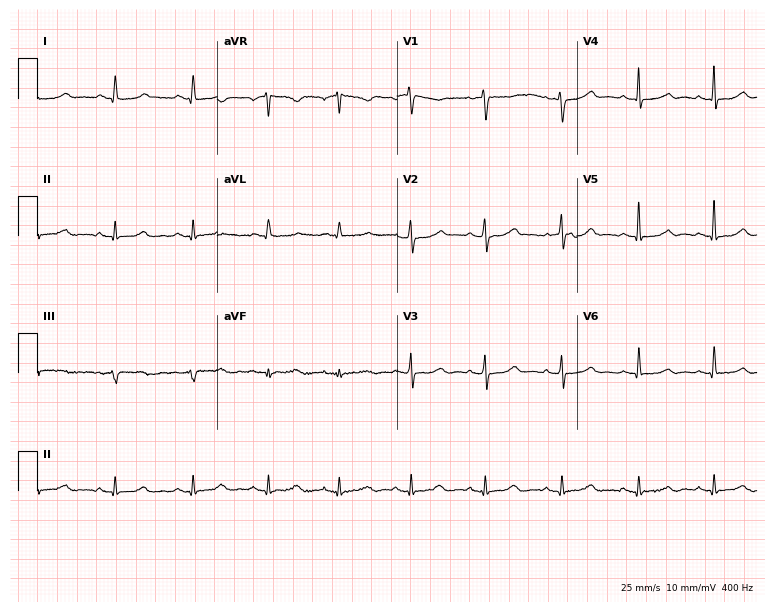
12-lead ECG from a 46-year-old woman. Labelled as a normal ECG.